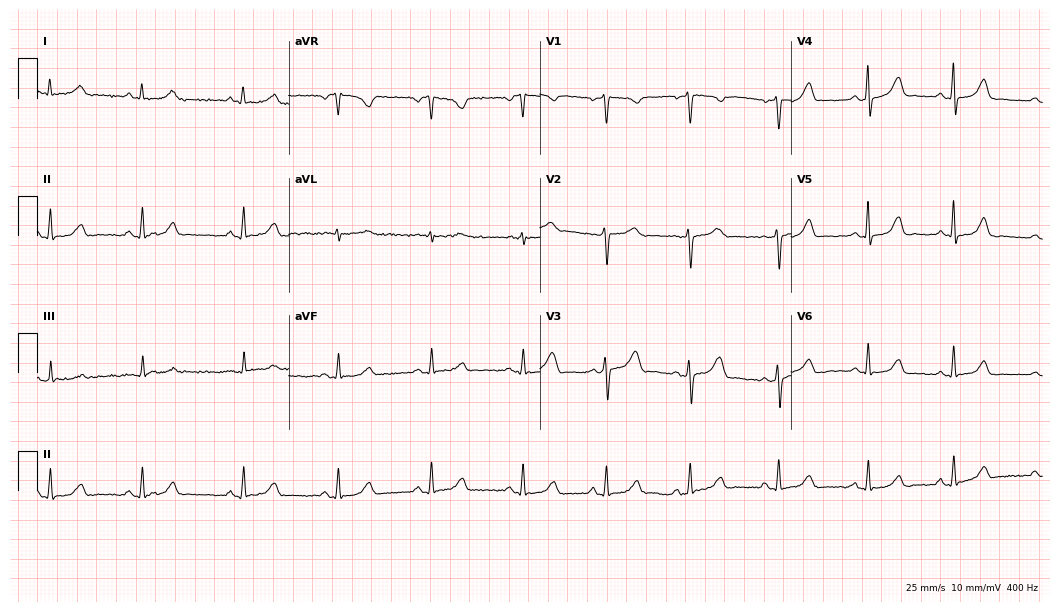
ECG (10.2-second recording at 400 Hz) — a 44-year-old woman. Labelled as a normal ECG.